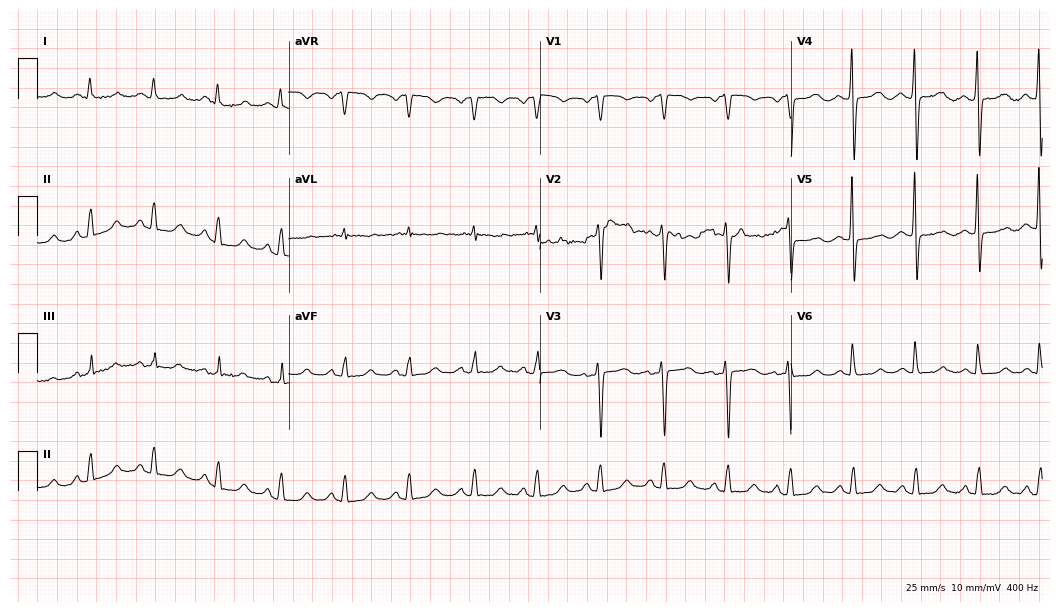
ECG (10.2-second recording at 400 Hz) — a female, 69 years old. Screened for six findings — first-degree AV block, right bundle branch block (RBBB), left bundle branch block (LBBB), sinus bradycardia, atrial fibrillation (AF), sinus tachycardia — none is recorded. Findings outside these six are not listed.